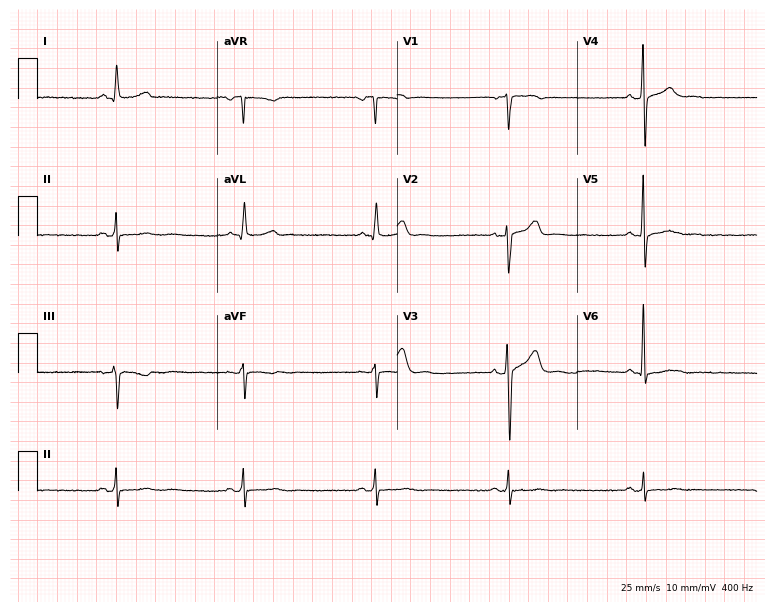
Standard 12-lead ECG recorded from a man, 44 years old (7.3-second recording at 400 Hz). The tracing shows sinus bradycardia (a sinus rate of 50 beats per minute or less).